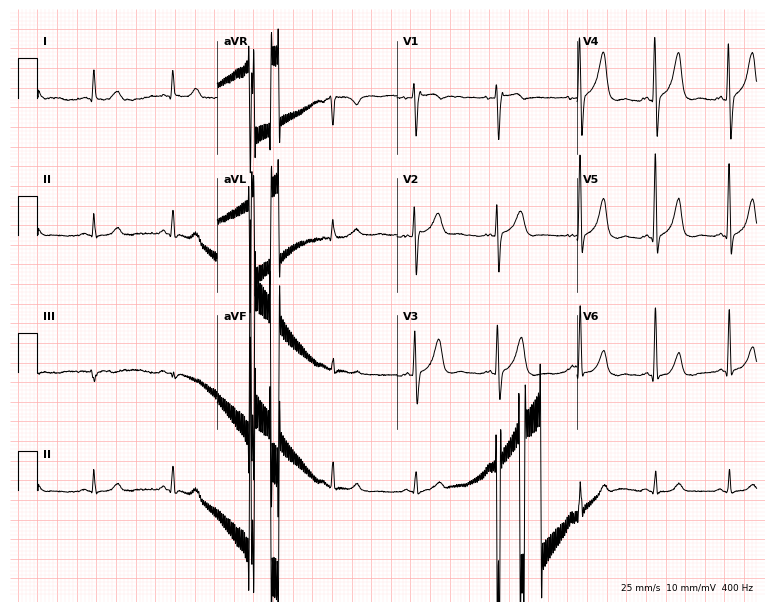
12-lead ECG from a male patient, 63 years old (7.3-second recording at 400 Hz). No first-degree AV block, right bundle branch block (RBBB), left bundle branch block (LBBB), sinus bradycardia, atrial fibrillation (AF) or sinus tachycardia recorded for this tracing.